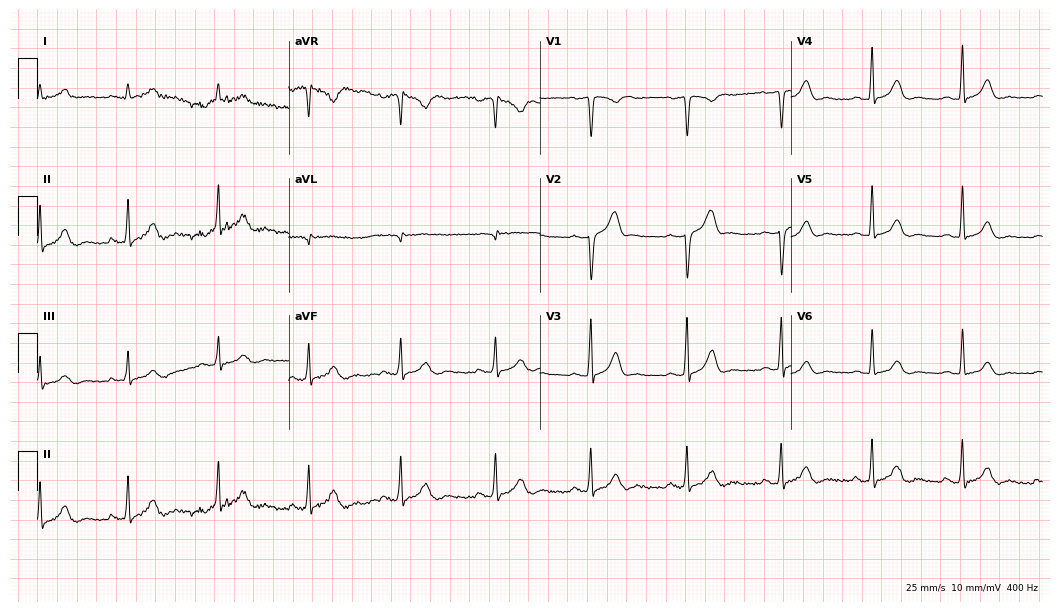
Resting 12-lead electrocardiogram. Patient: a man, 37 years old. None of these six findings is recorded: first-degree AV block, right bundle branch block (RBBB), left bundle branch block (LBBB), sinus bradycardia, atrial fibrillation (AF), sinus tachycardia. Only these six findings were labelled.